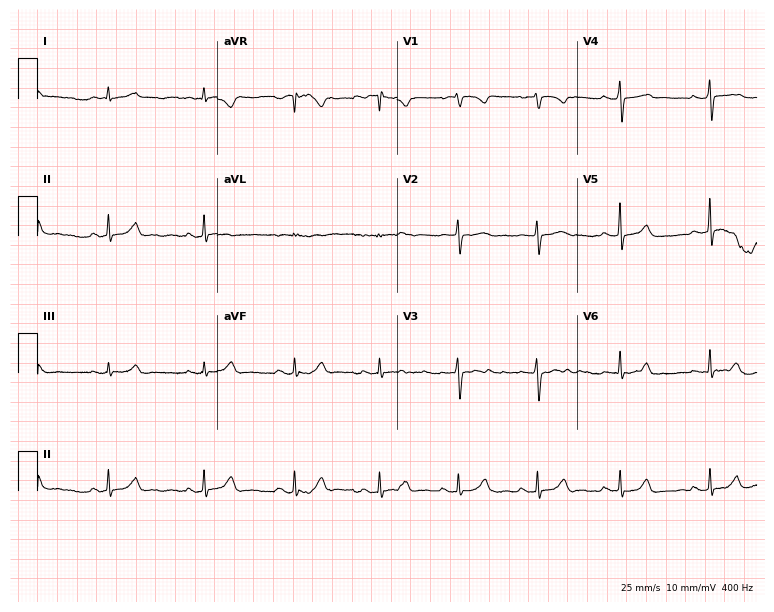
Electrocardiogram, a female, 22 years old. Overall reading on record: normal ECG.